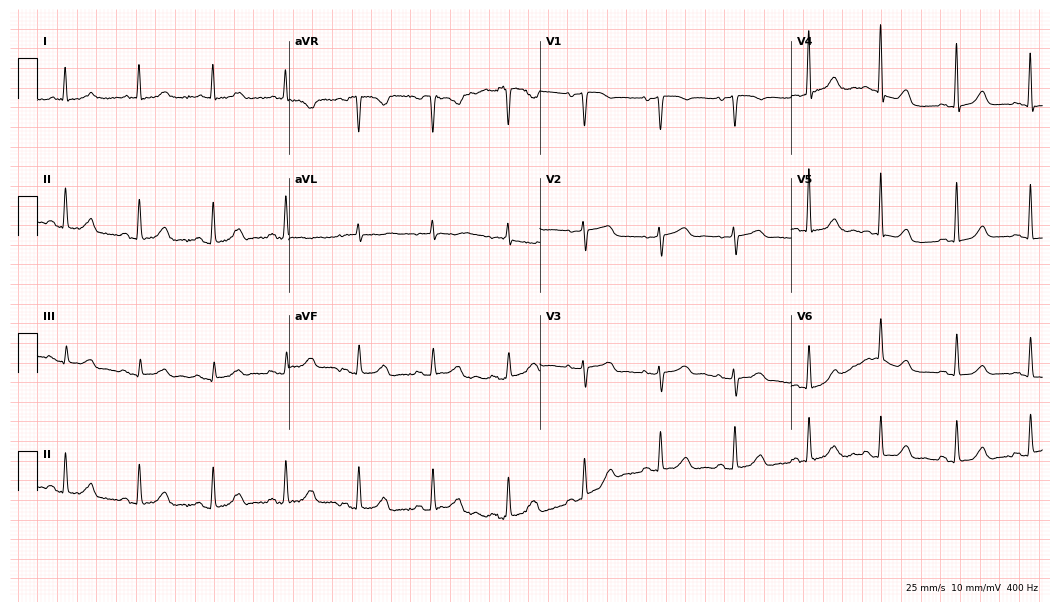
Standard 12-lead ECG recorded from a woman, 84 years old (10.2-second recording at 400 Hz). Read as a normal ECG.